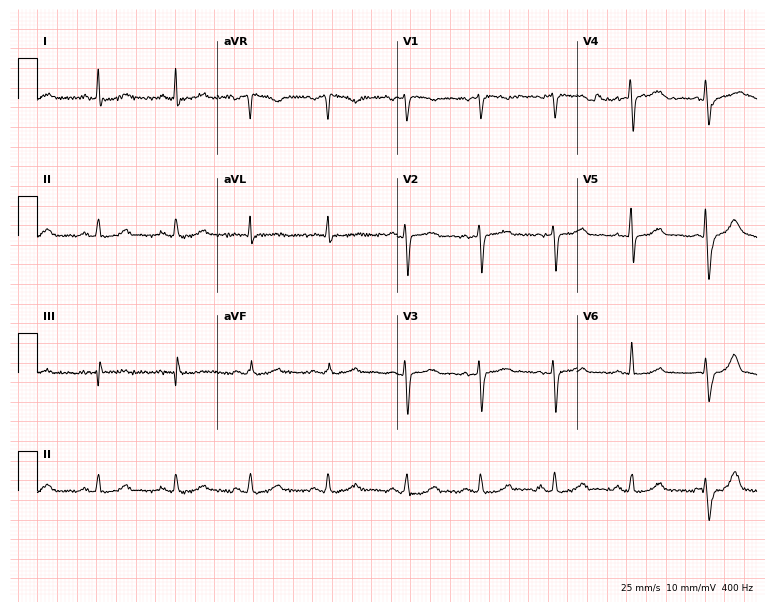
Resting 12-lead electrocardiogram (7.3-second recording at 400 Hz). Patient: a 61-year-old female. None of these six findings is recorded: first-degree AV block, right bundle branch block, left bundle branch block, sinus bradycardia, atrial fibrillation, sinus tachycardia.